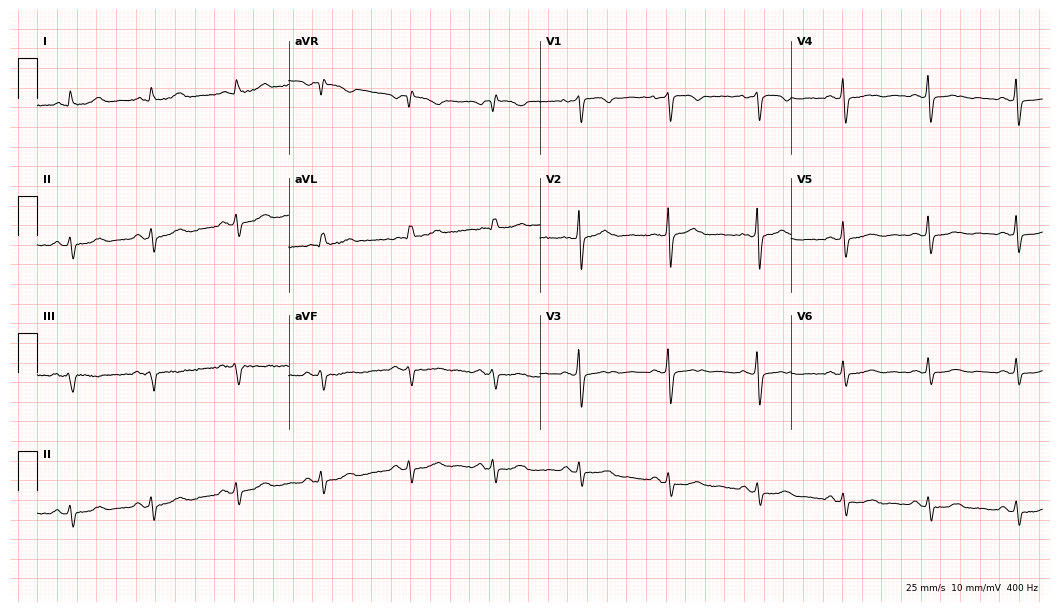
Standard 12-lead ECG recorded from a female patient, 79 years old (10.2-second recording at 400 Hz). None of these six findings is recorded: first-degree AV block, right bundle branch block, left bundle branch block, sinus bradycardia, atrial fibrillation, sinus tachycardia.